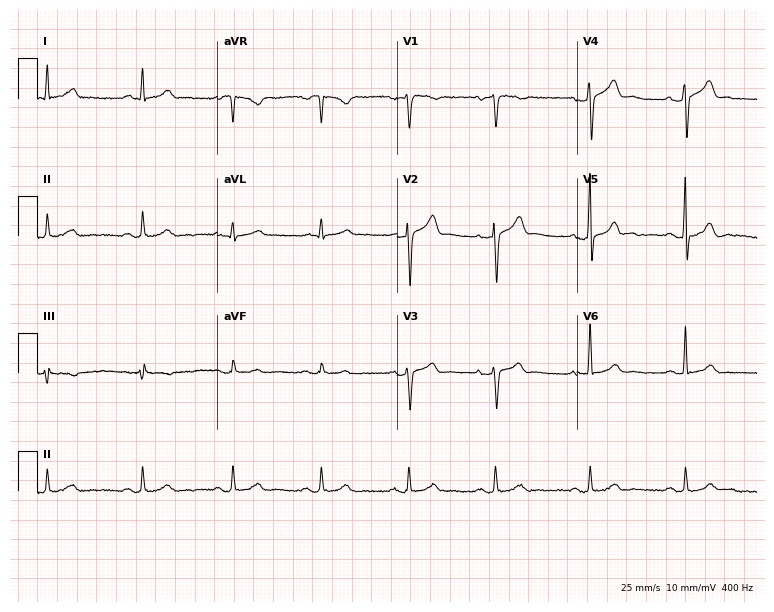
ECG (7.3-second recording at 400 Hz) — a 51-year-old man. Labelled as a normal ECG.